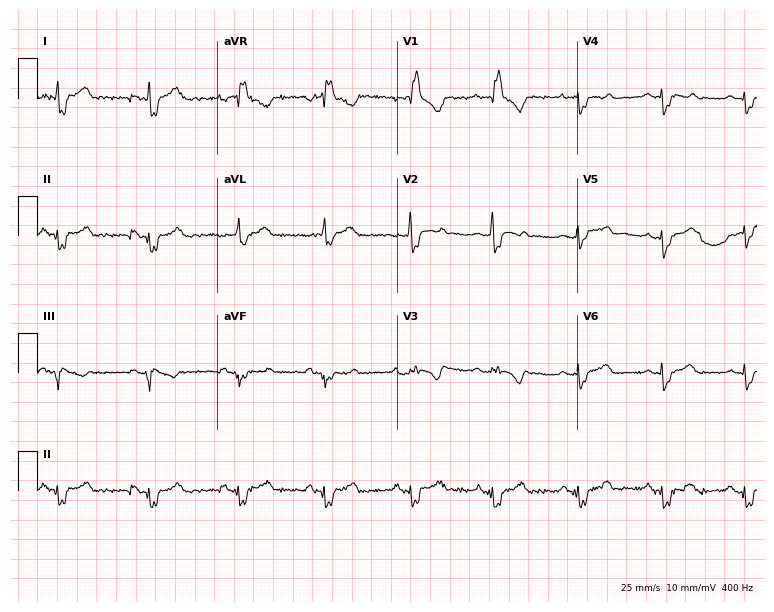
Standard 12-lead ECG recorded from a 40-year-old male patient. The tracing shows right bundle branch block (RBBB).